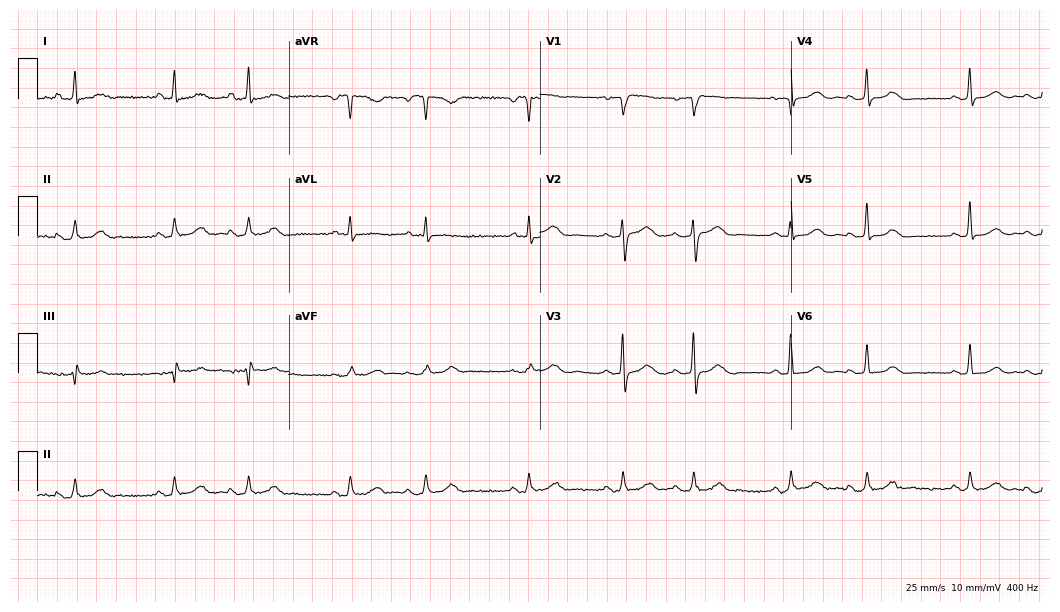
ECG (10.2-second recording at 400 Hz) — a female, 68 years old. Screened for six findings — first-degree AV block, right bundle branch block, left bundle branch block, sinus bradycardia, atrial fibrillation, sinus tachycardia — none is recorded. Other findings, if any, are not listed.